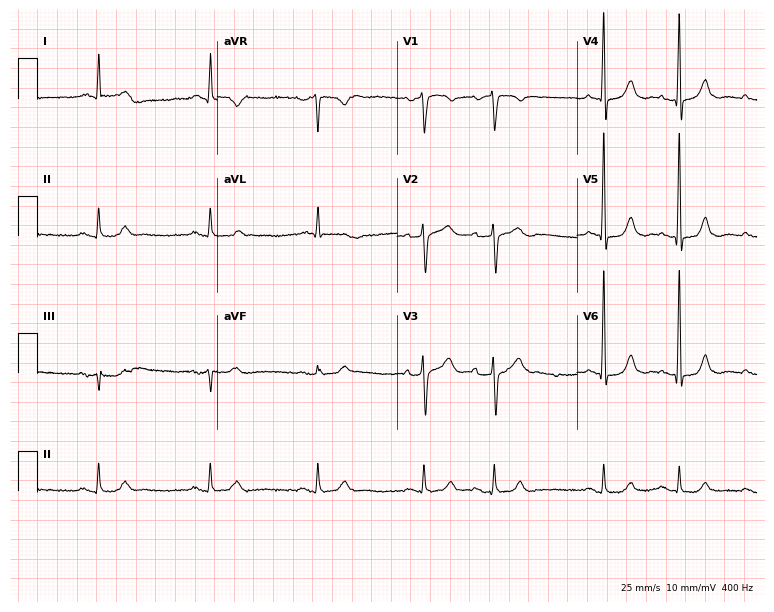
ECG (7.3-second recording at 400 Hz) — a male patient, 78 years old. Labelled as a normal ECG.